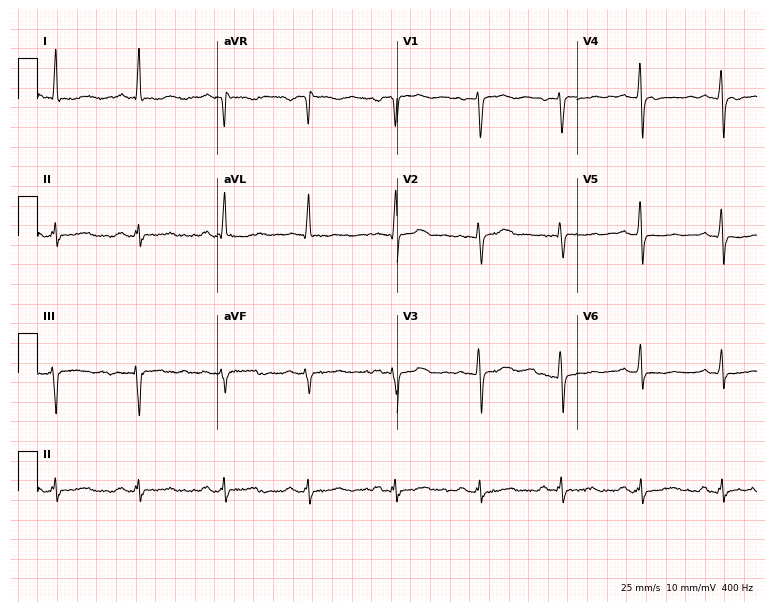
12-lead ECG from a 70-year-old female patient (7.3-second recording at 400 Hz). No first-degree AV block, right bundle branch block, left bundle branch block, sinus bradycardia, atrial fibrillation or sinus tachycardia recorded for this tracing. Other findings, if any, are not listed.